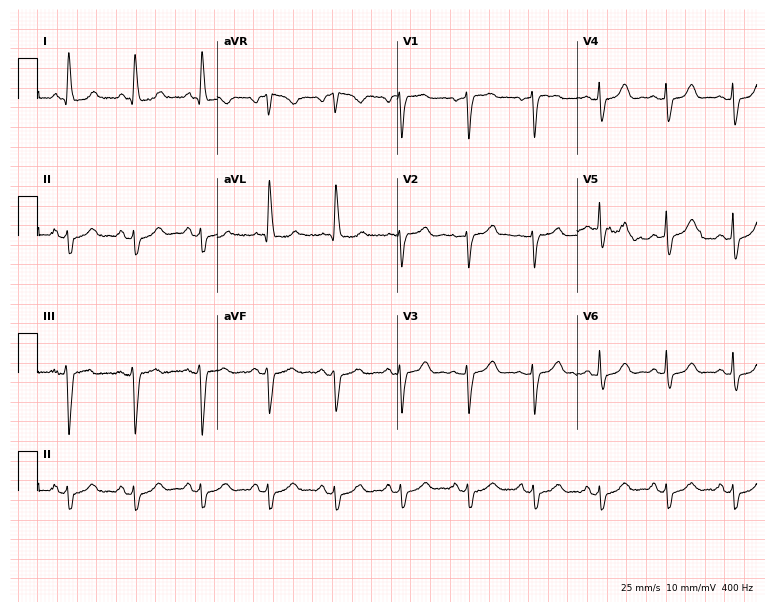
12-lead ECG (7.3-second recording at 400 Hz) from an 80-year-old female. Screened for six findings — first-degree AV block, right bundle branch block (RBBB), left bundle branch block (LBBB), sinus bradycardia, atrial fibrillation (AF), sinus tachycardia — none is recorded.